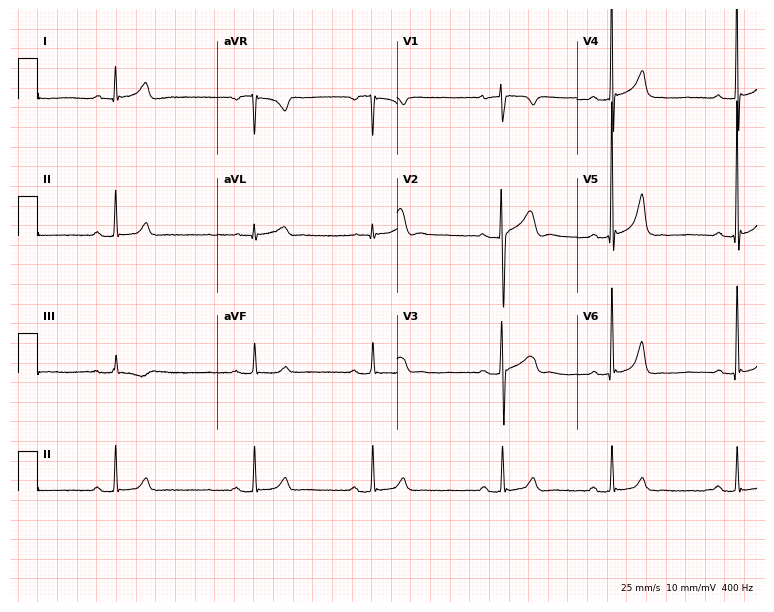
12-lead ECG from a 24-year-old man. Findings include first-degree AV block, sinus bradycardia (a sinus rate of 50 beats per minute or less).